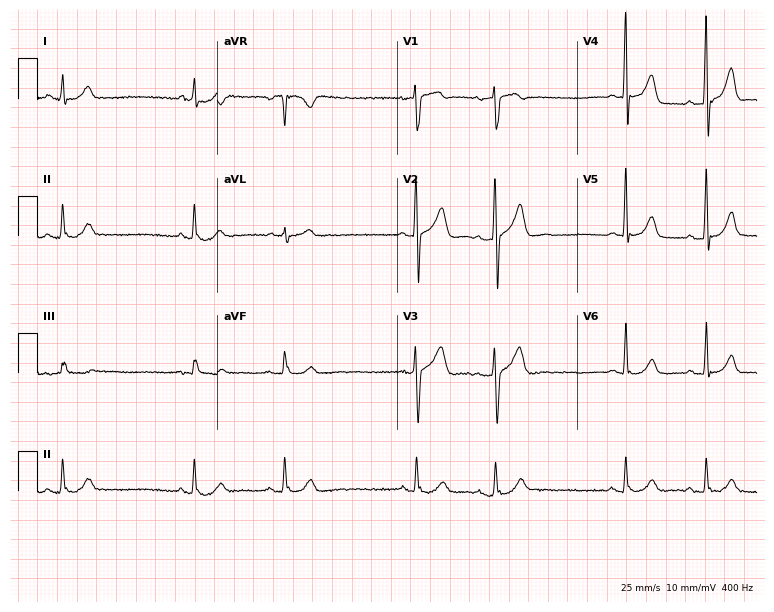
12-lead ECG from a 67-year-old male patient. Labelled as a normal ECG.